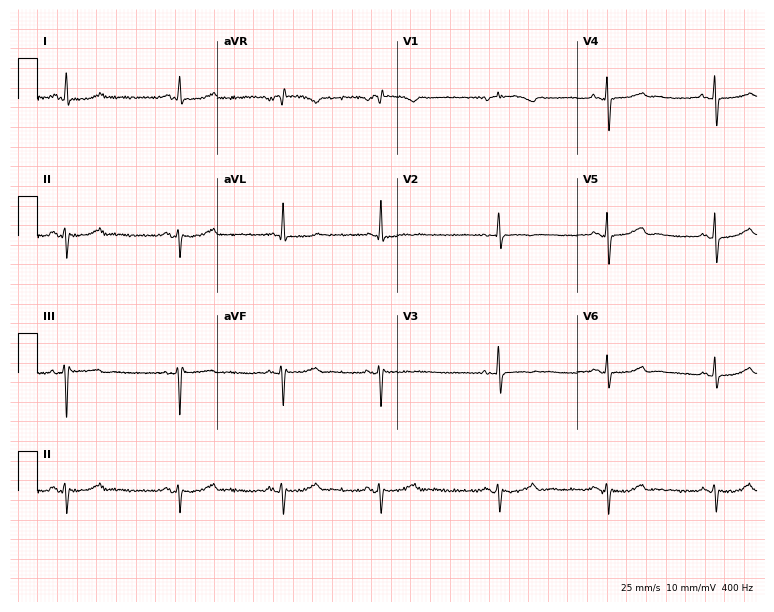
12-lead ECG from a female patient, 72 years old. No first-degree AV block, right bundle branch block (RBBB), left bundle branch block (LBBB), sinus bradycardia, atrial fibrillation (AF) or sinus tachycardia recorded for this tracing. Only these six findings were labelled.